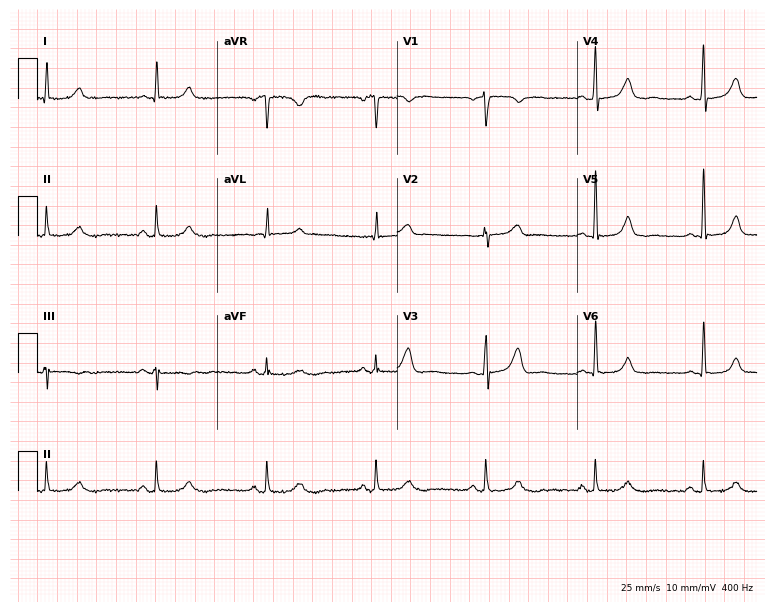
ECG — a 57-year-old woman. Screened for six findings — first-degree AV block, right bundle branch block, left bundle branch block, sinus bradycardia, atrial fibrillation, sinus tachycardia — none is recorded.